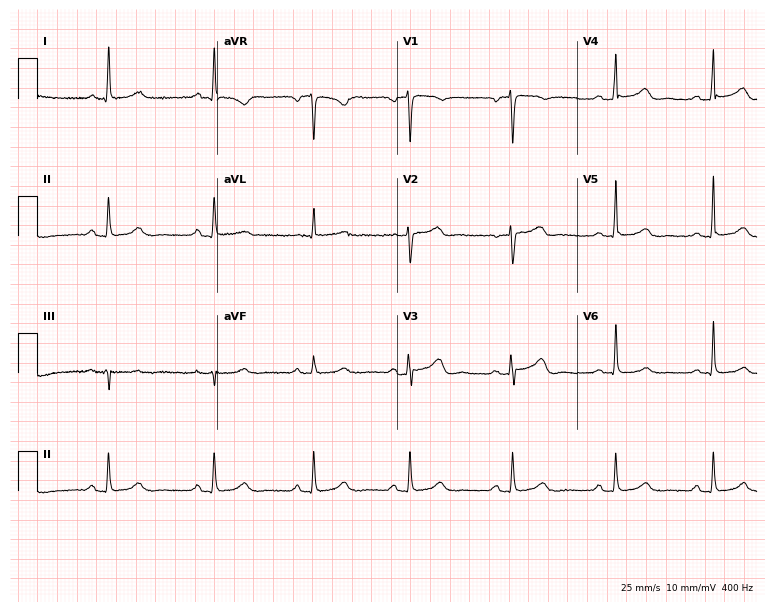
Resting 12-lead electrocardiogram. Patient: a 57-year-old female. None of these six findings is recorded: first-degree AV block, right bundle branch block (RBBB), left bundle branch block (LBBB), sinus bradycardia, atrial fibrillation (AF), sinus tachycardia.